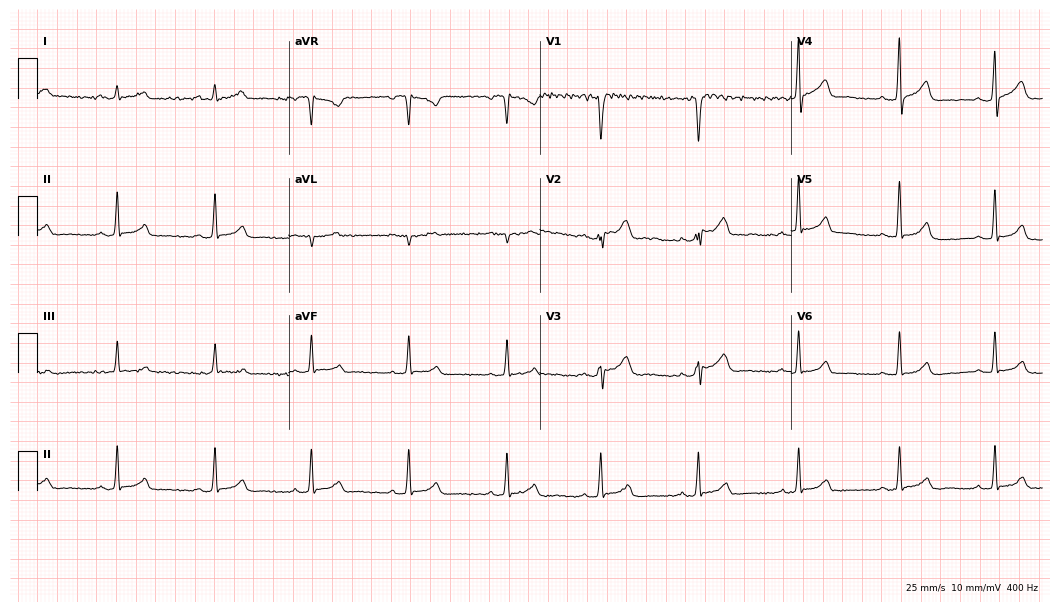
Resting 12-lead electrocardiogram (10.2-second recording at 400 Hz). Patient: a 37-year-old male. Read as a normal ECG.